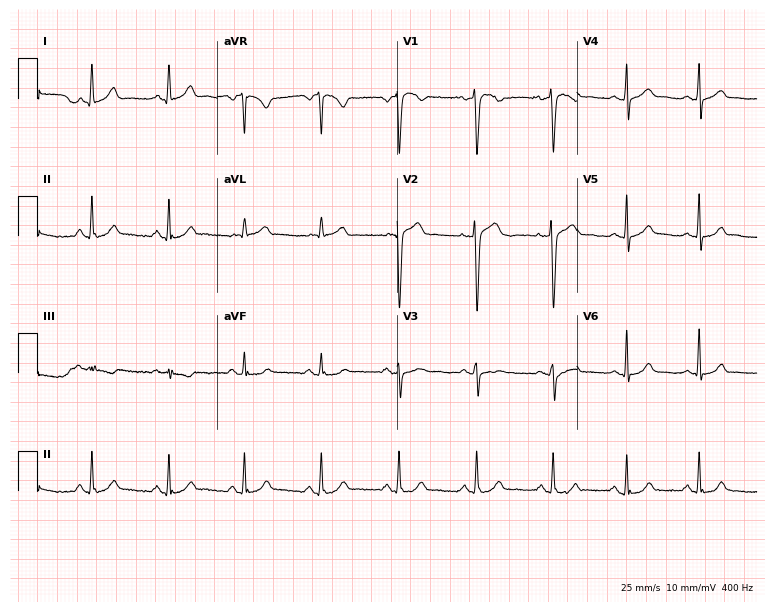
Resting 12-lead electrocardiogram (7.3-second recording at 400 Hz). Patient: a 38-year-old female. None of these six findings is recorded: first-degree AV block, right bundle branch block, left bundle branch block, sinus bradycardia, atrial fibrillation, sinus tachycardia. Findings outside these six are not listed.